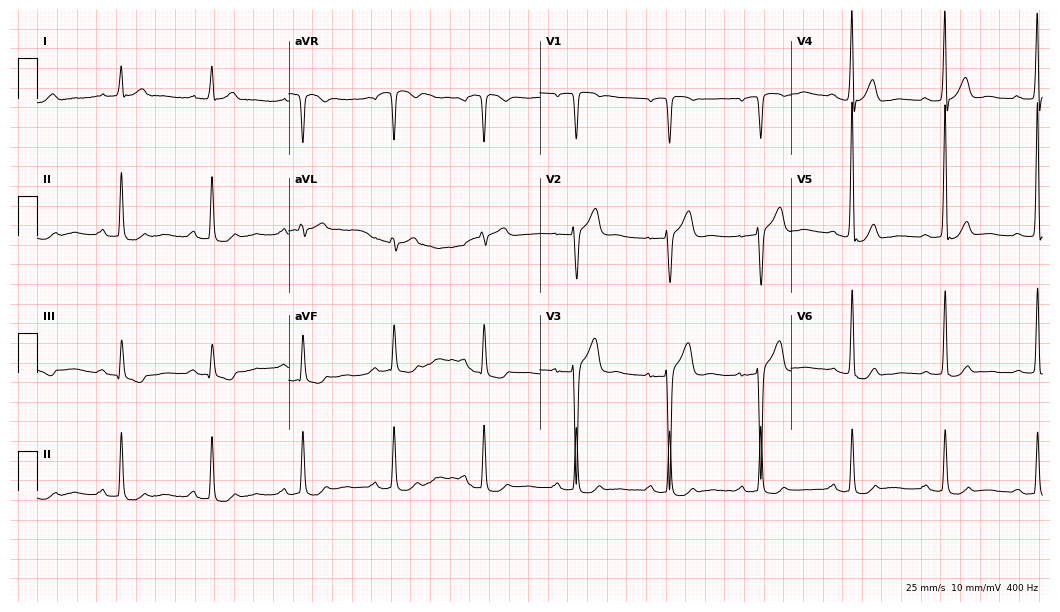
Resting 12-lead electrocardiogram (10.2-second recording at 400 Hz). Patient: a 78-year-old male. Read as a normal ECG.